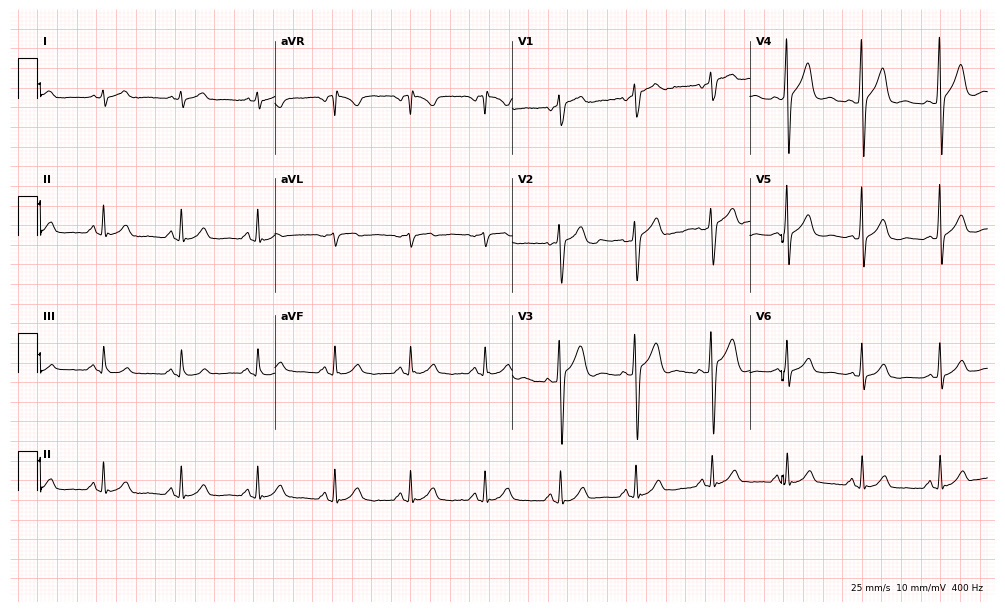
Electrocardiogram (9.7-second recording at 400 Hz), a 52-year-old male. Of the six screened findings (first-degree AV block, right bundle branch block (RBBB), left bundle branch block (LBBB), sinus bradycardia, atrial fibrillation (AF), sinus tachycardia), none is recorded. Other findings, if any, are not listed.